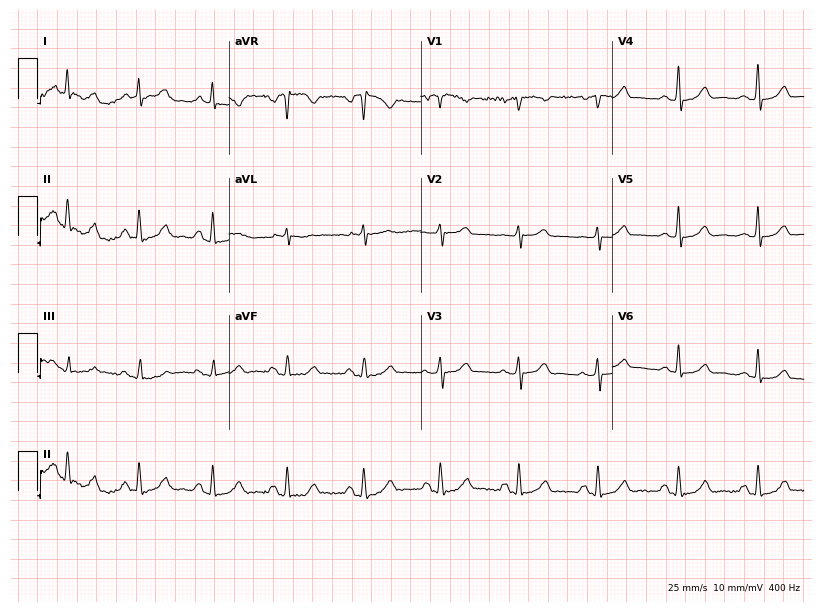
12-lead ECG from a woman, 64 years old (7.8-second recording at 400 Hz). Recorded interpretation: within normal limits.